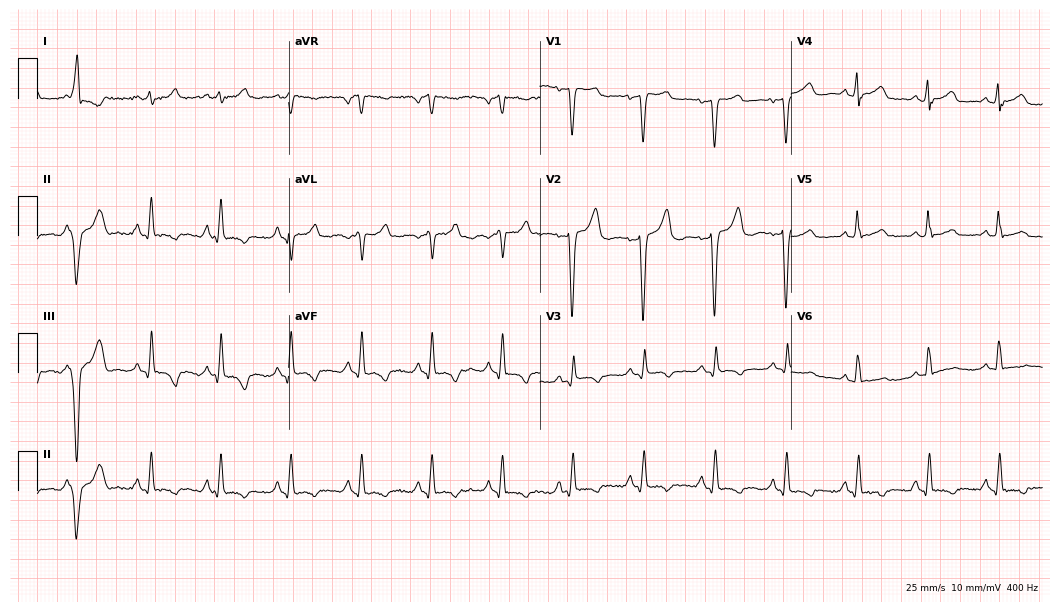
12-lead ECG (10.2-second recording at 400 Hz) from a woman, 55 years old. Screened for six findings — first-degree AV block, right bundle branch block, left bundle branch block, sinus bradycardia, atrial fibrillation, sinus tachycardia — none is recorded. Only these six findings were labelled.